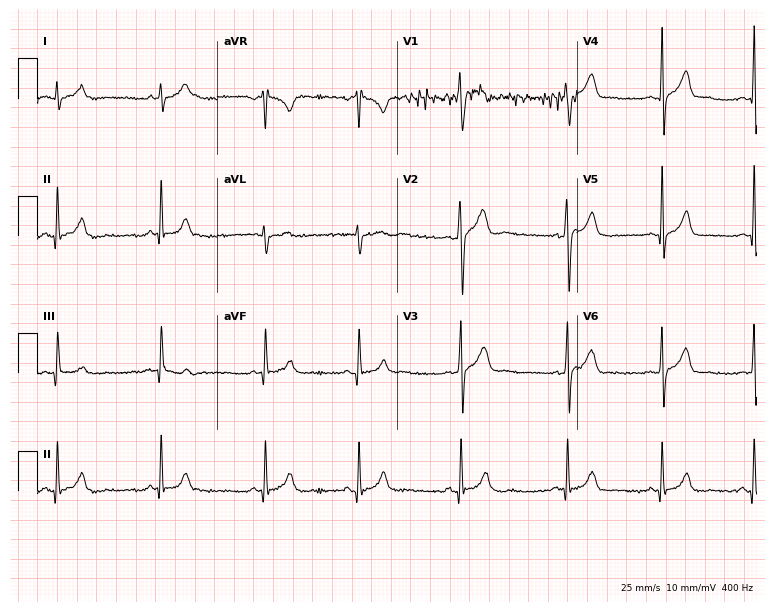
Electrocardiogram, a male, 21 years old. Of the six screened findings (first-degree AV block, right bundle branch block, left bundle branch block, sinus bradycardia, atrial fibrillation, sinus tachycardia), none is recorded. Only these six findings were labelled.